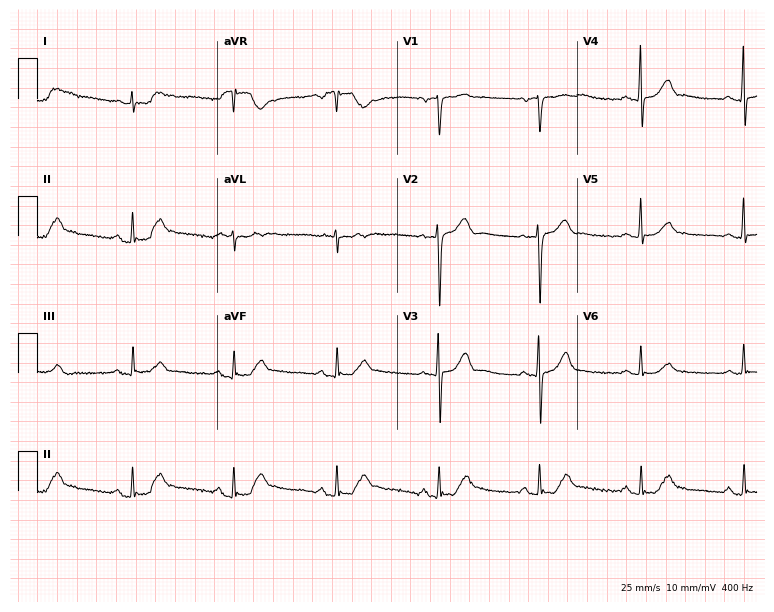
Standard 12-lead ECG recorded from a man, 70 years old (7.3-second recording at 400 Hz). Read as a normal ECG.